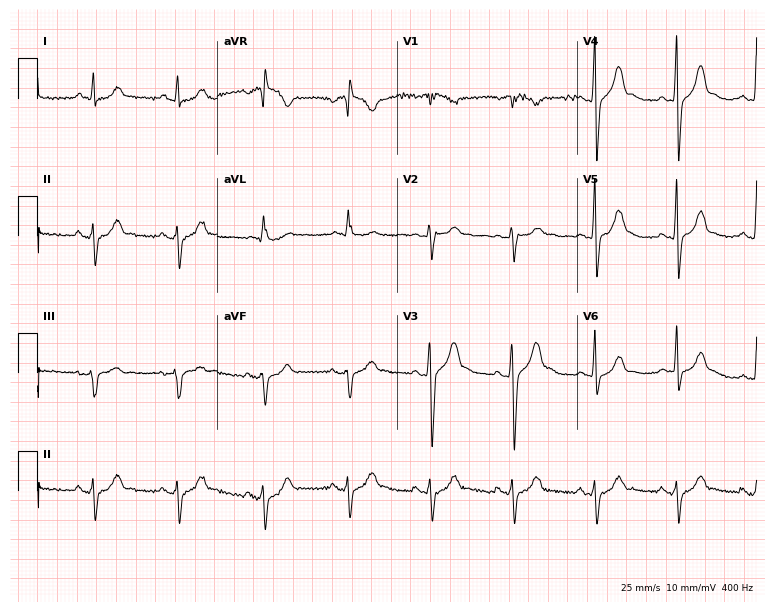
Standard 12-lead ECG recorded from a male, 45 years old (7.3-second recording at 400 Hz). None of these six findings is recorded: first-degree AV block, right bundle branch block, left bundle branch block, sinus bradycardia, atrial fibrillation, sinus tachycardia. Other findings, if any, are not listed.